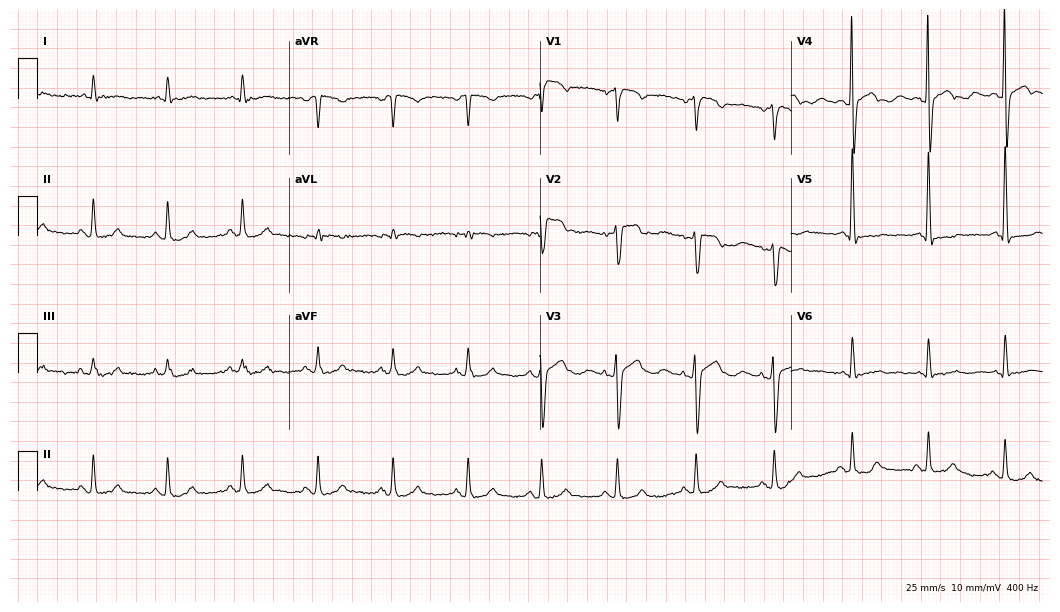
Electrocardiogram (10.2-second recording at 400 Hz), a female patient, 68 years old. Of the six screened findings (first-degree AV block, right bundle branch block, left bundle branch block, sinus bradycardia, atrial fibrillation, sinus tachycardia), none is recorded. Findings outside these six are not listed.